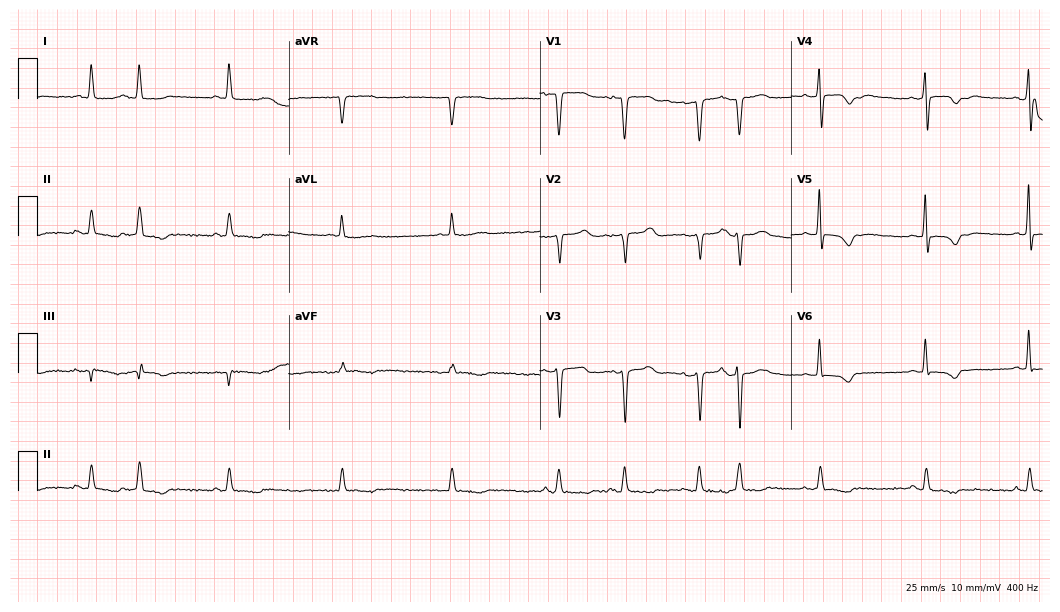
12-lead ECG from a 74-year-old woman. No first-degree AV block, right bundle branch block, left bundle branch block, sinus bradycardia, atrial fibrillation or sinus tachycardia recorded for this tracing. Other findings, if any, are not listed.